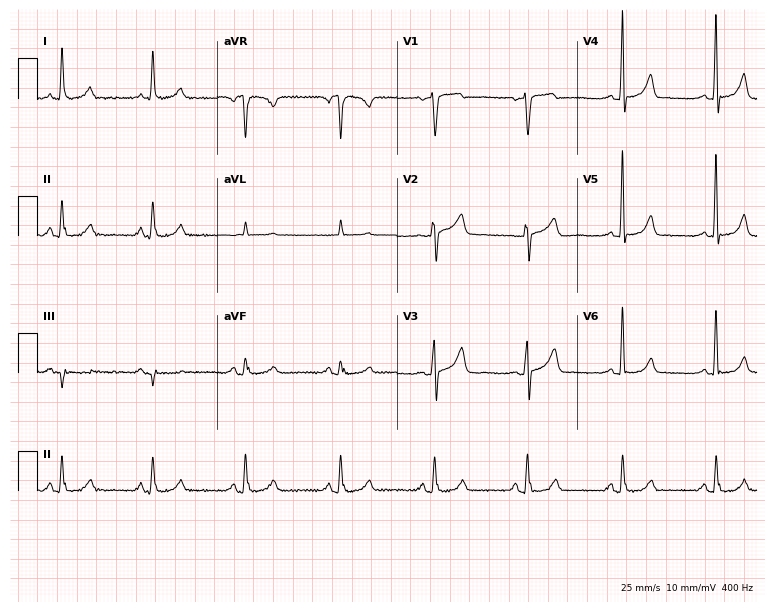
Resting 12-lead electrocardiogram. Patient: a 73-year-old female. None of these six findings is recorded: first-degree AV block, right bundle branch block, left bundle branch block, sinus bradycardia, atrial fibrillation, sinus tachycardia.